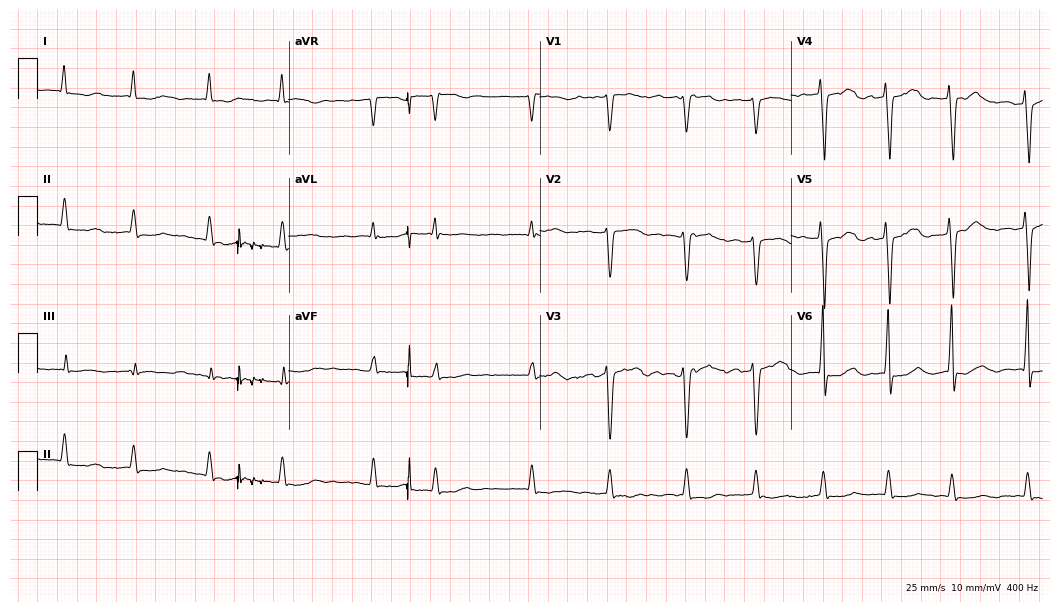
12-lead ECG from a 77-year-old male. Findings include atrial fibrillation.